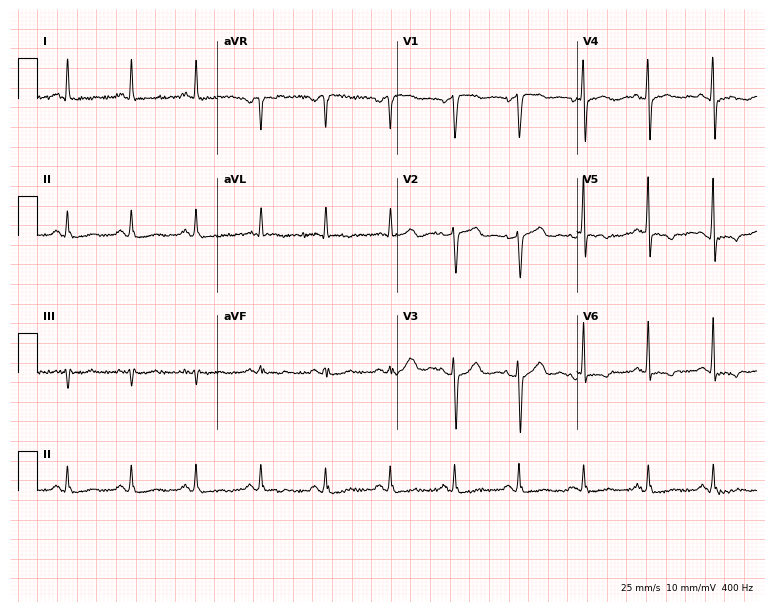
12-lead ECG (7.3-second recording at 400 Hz) from a 76-year-old woman. Screened for six findings — first-degree AV block, right bundle branch block, left bundle branch block, sinus bradycardia, atrial fibrillation, sinus tachycardia — none is recorded.